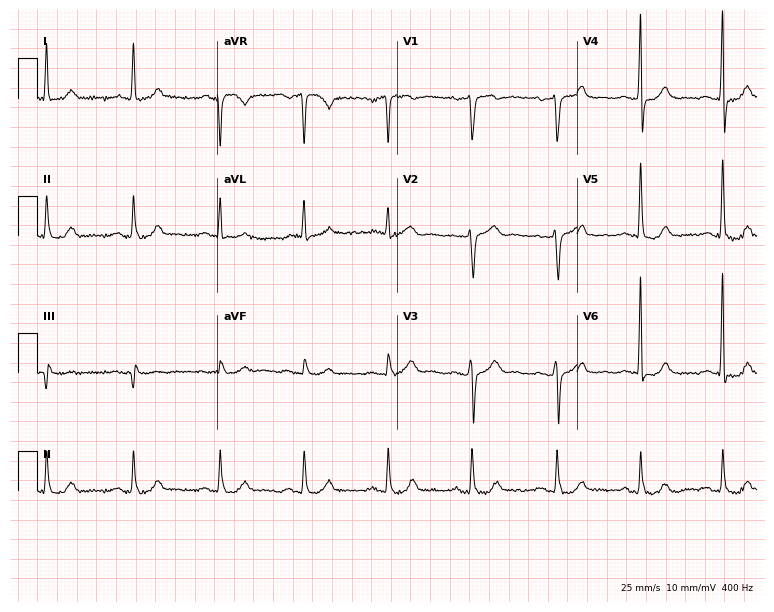
12-lead ECG from a 58-year-old man. Labelled as a normal ECG.